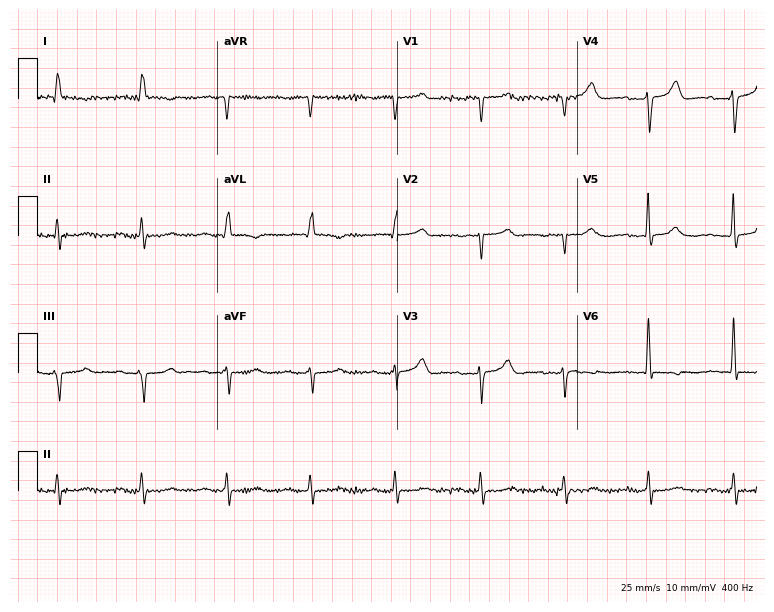
Standard 12-lead ECG recorded from a woman, 82 years old (7.3-second recording at 400 Hz). None of these six findings is recorded: first-degree AV block, right bundle branch block, left bundle branch block, sinus bradycardia, atrial fibrillation, sinus tachycardia. Other findings, if any, are not listed.